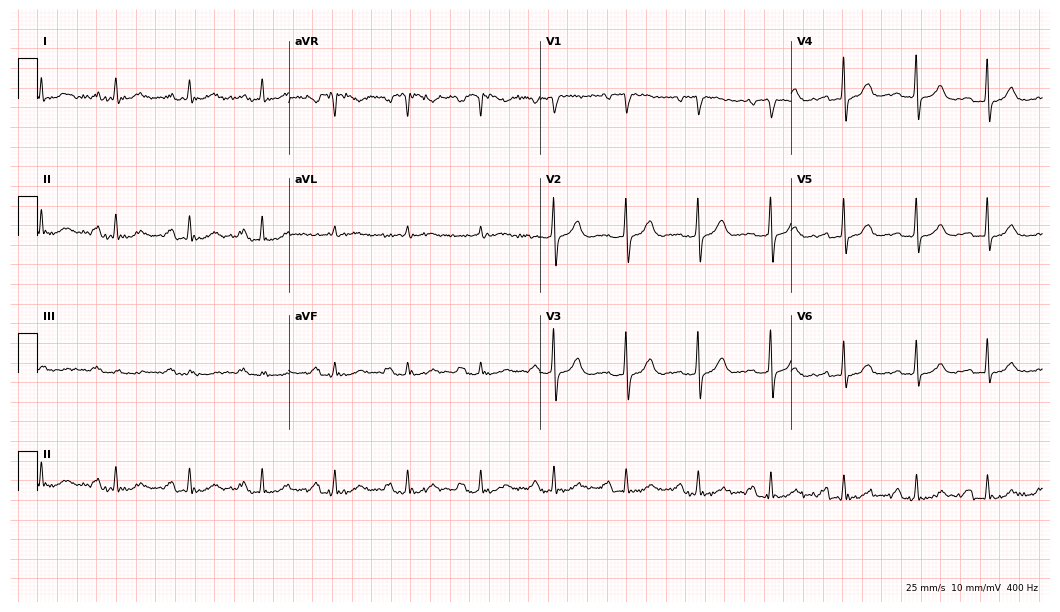
12-lead ECG from a female, 83 years old (10.2-second recording at 400 Hz). Shows first-degree AV block.